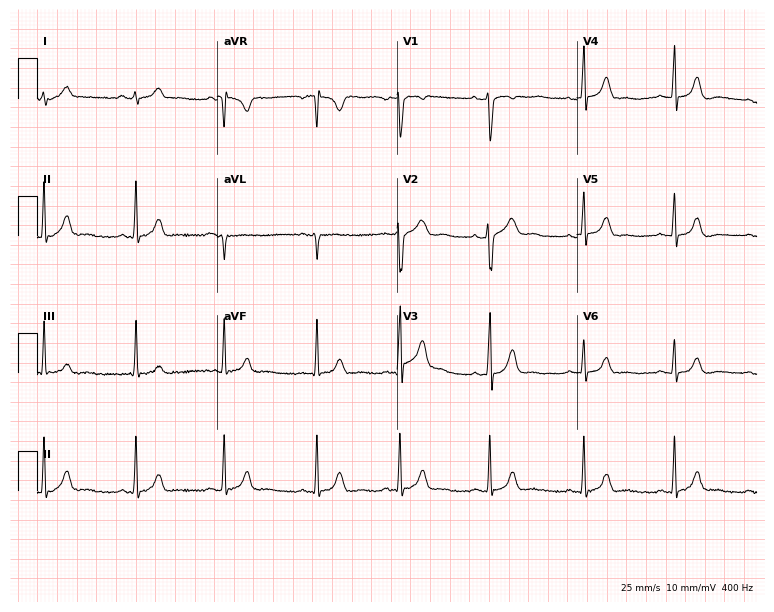
ECG — a 24-year-old female. Screened for six findings — first-degree AV block, right bundle branch block, left bundle branch block, sinus bradycardia, atrial fibrillation, sinus tachycardia — none is recorded.